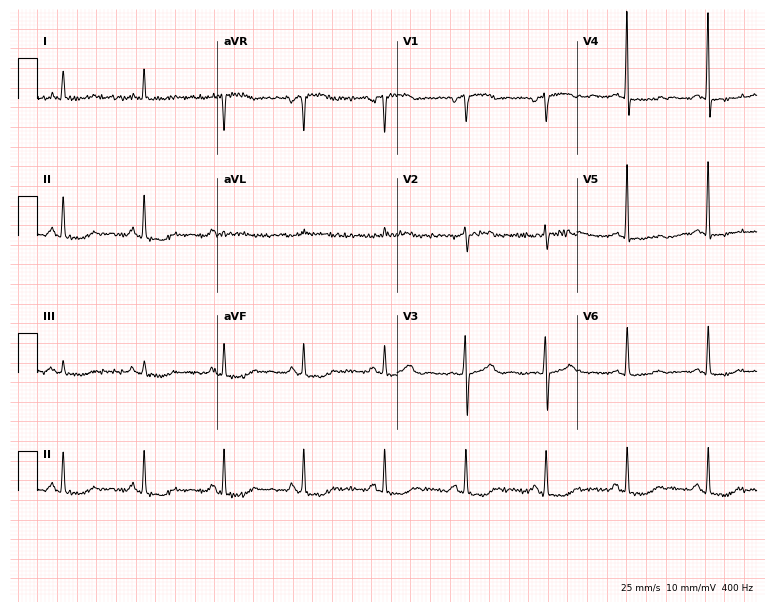
12-lead ECG from a female patient, 69 years old. Labelled as a normal ECG.